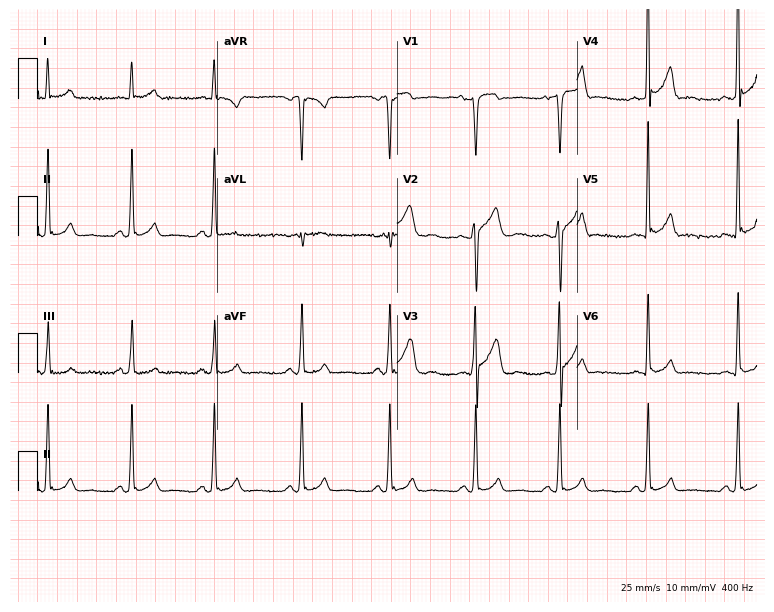
12-lead ECG from a 33-year-old male. Screened for six findings — first-degree AV block, right bundle branch block, left bundle branch block, sinus bradycardia, atrial fibrillation, sinus tachycardia — none is recorded. Findings outside these six are not listed.